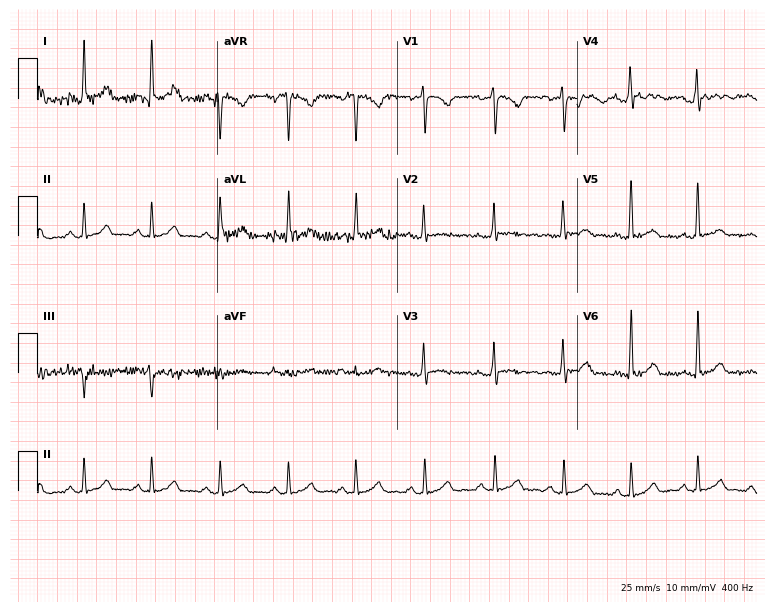
12-lead ECG from a female, 22 years old. Screened for six findings — first-degree AV block, right bundle branch block, left bundle branch block, sinus bradycardia, atrial fibrillation, sinus tachycardia — none is recorded. Only these six findings were labelled.